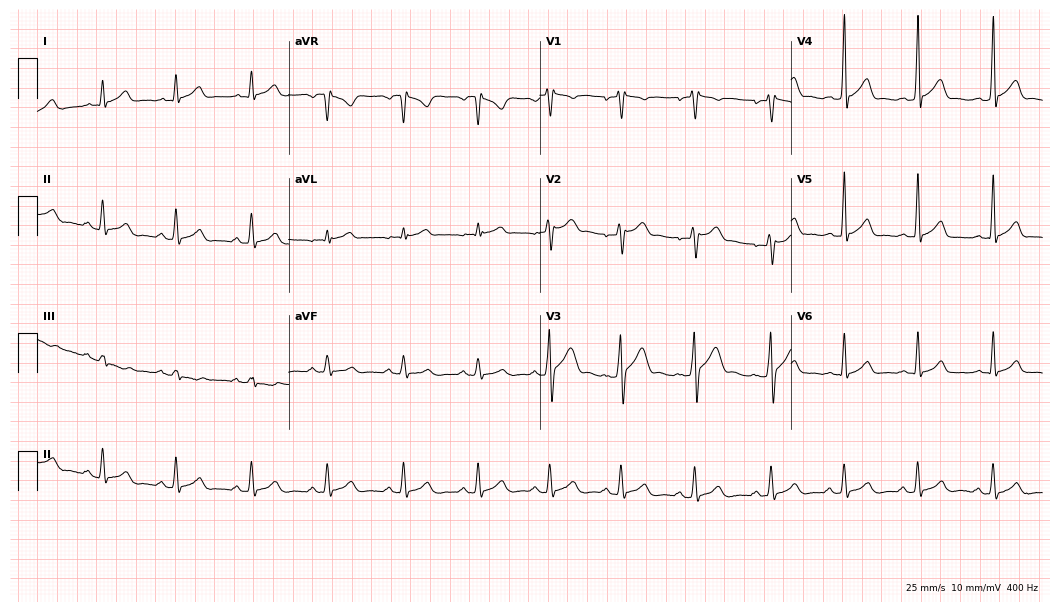
12-lead ECG from a male patient, 24 years old (10.2-second recording at 400 Hz). Recorded interpretation: within normal limits.